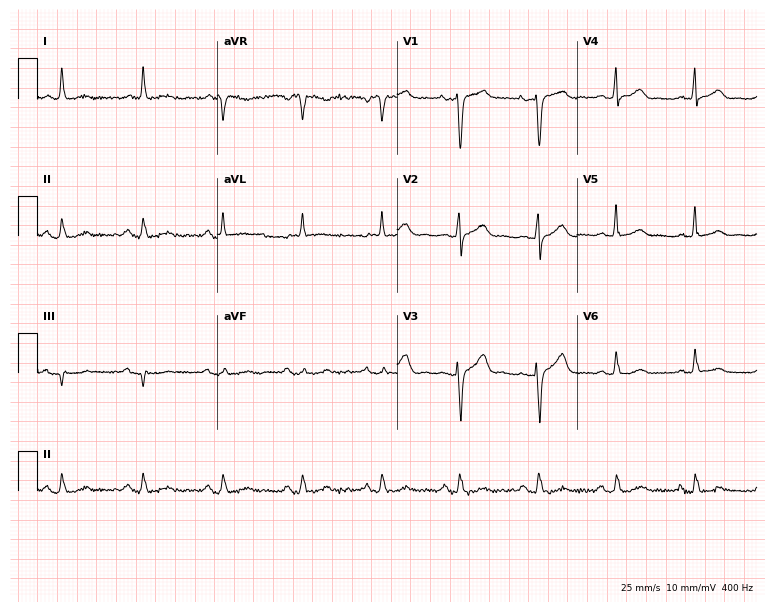
12-lead ECG (7.3-second recording at 400 Hz) from a 79-year-old male. Screened for six findings — first-degree AV block, right bundle branch block, left bundle branch block, sinus bradycardia, atrial fibrillation, sinus tachycardia — none is recorded.